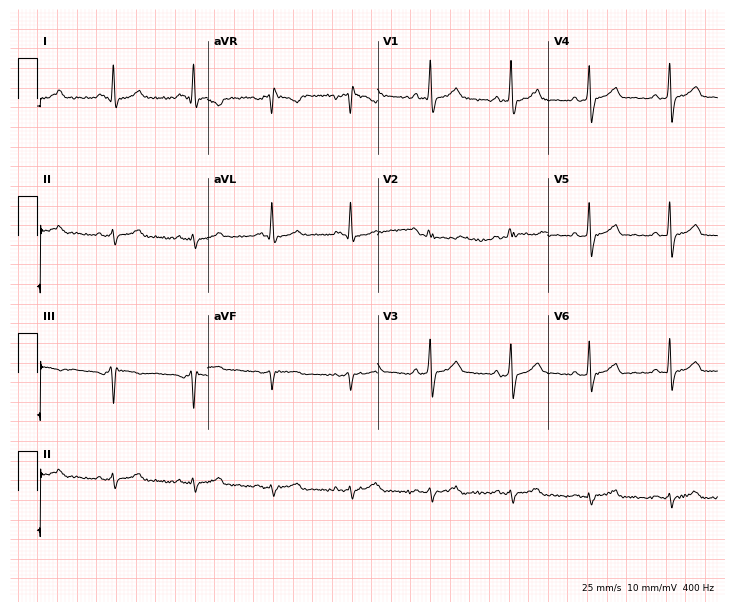
Standard 12-lead ECG recorded from a man, 55 years old (6.9-second recording at 400 Hz). None of these six findings is recorded: first-degree AV block, right bundle branch block (RBBB), left bundle branch block (LBBB), sinus bradycardia, atrial fibrillation (AF), sinus tachycardia. Only these six findings were labelled.